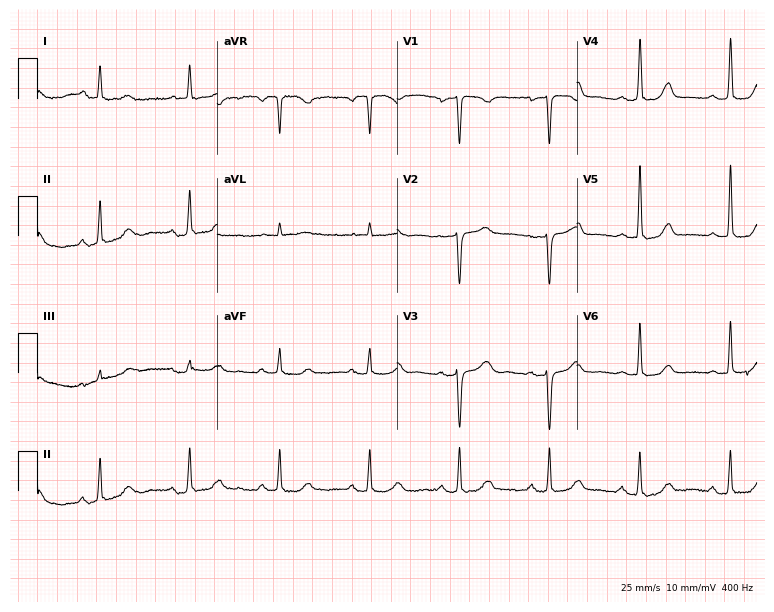
Resting 12-lead electrocardiogram. Patient: a woman, 59 years old. Read as a normal ECG.